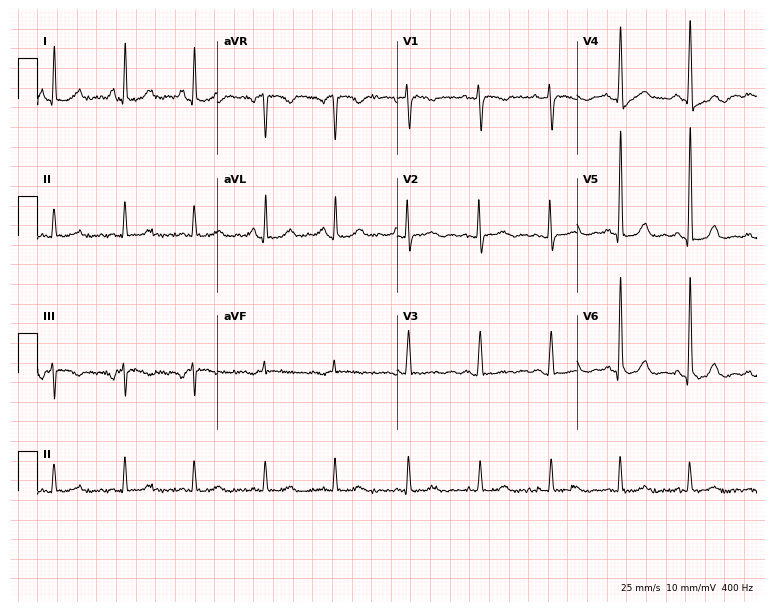
Electrocardiogram (7.3-second recording at 400 Hz), a woman, 56 years old. Of the six screened findings (first-degree AV block, right bundle branch block, left bundle branch block, sinus bradycardia, atrial fibrillation, sinus tachycardia), none is recorded.